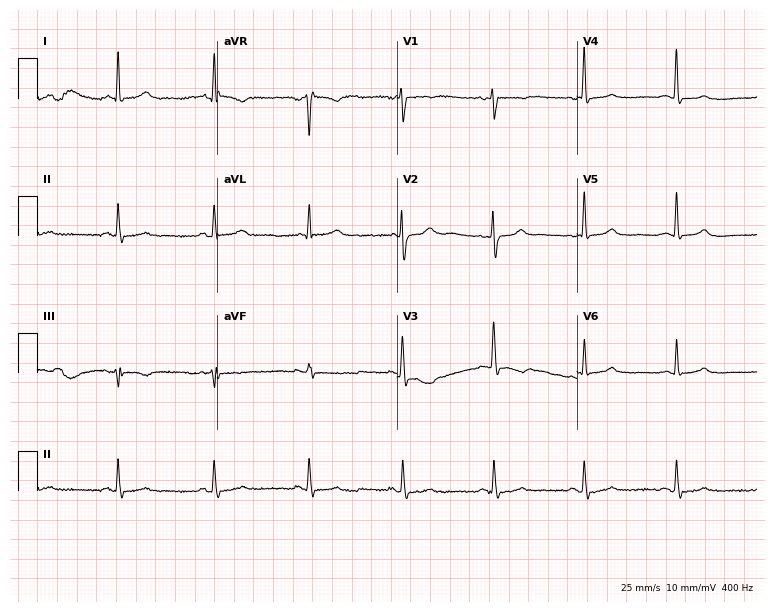
Resting 12-lead electrocardiogram (7.3-second recording at 400 Hz). Patient: a female, 38 years old. None of these six findings is recorded: first-degree AV block, right bundle branch block (RBBB), left bundle branch block (LBBB), sinus bradycardia, atrial fibrillation (AF), sinus tachycardia. Findings outside these six are not listed.